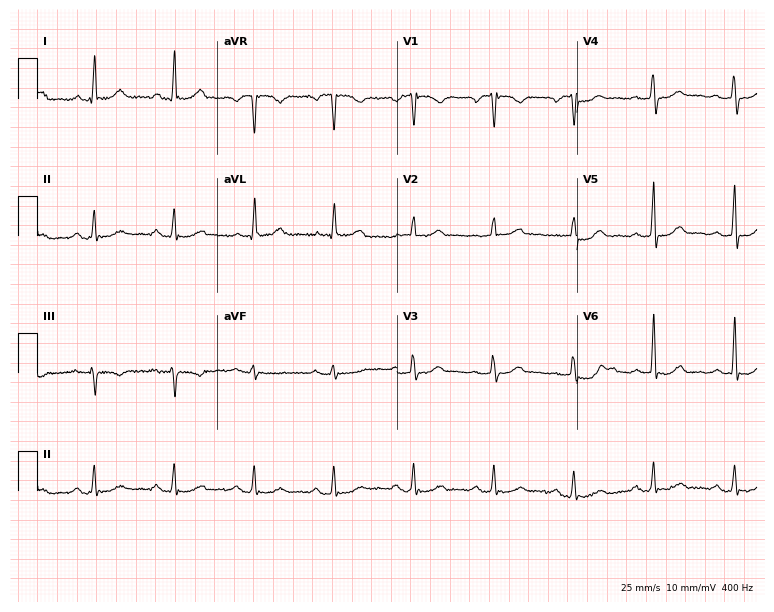
12-lead ECG from a 65-year-old female (7.3-second recording at 400 Hz). No first-degree AV block, right bundle branch block, left bundle branch block, sinus bradycardia, atrial fibrillation or sinus tachycardia recorded for this tracing.